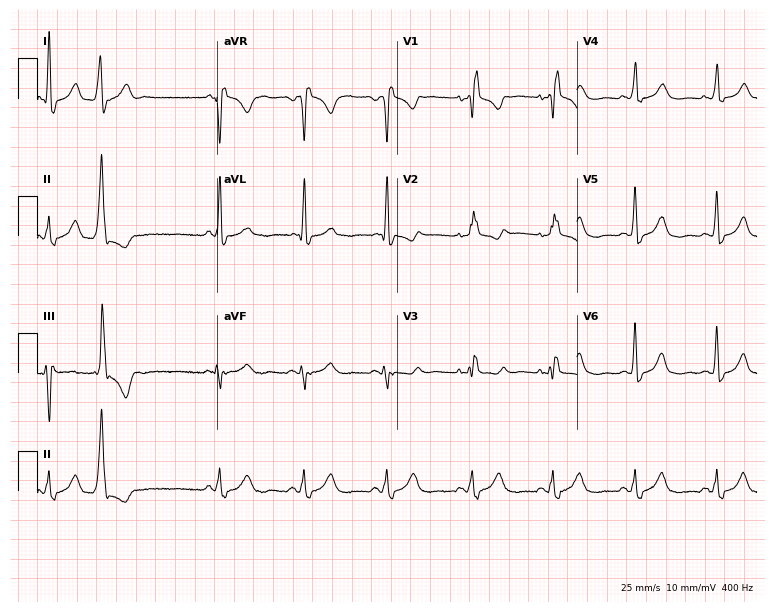
12-lead ECG from a female, 66 years old. Shows right bundle branch block.